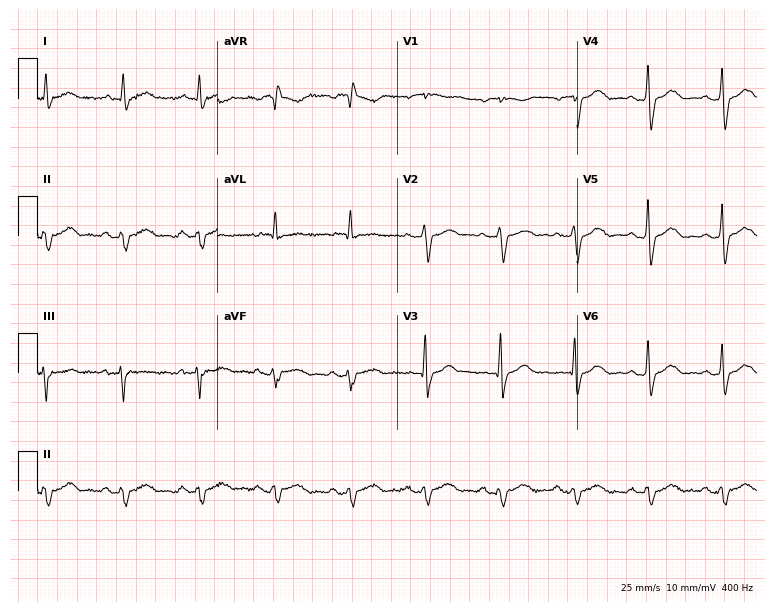
12-lead ECG (7.3-second recording at 400 Hz) from a male patient, 73 years old. Screened for six findings — first-degree AV block, right bundle branch block (RBBB), left bundle branch block (LBBB), sinus bradycardia, atrial fibrillation (AF), sinus tachycardia — none is recorded.